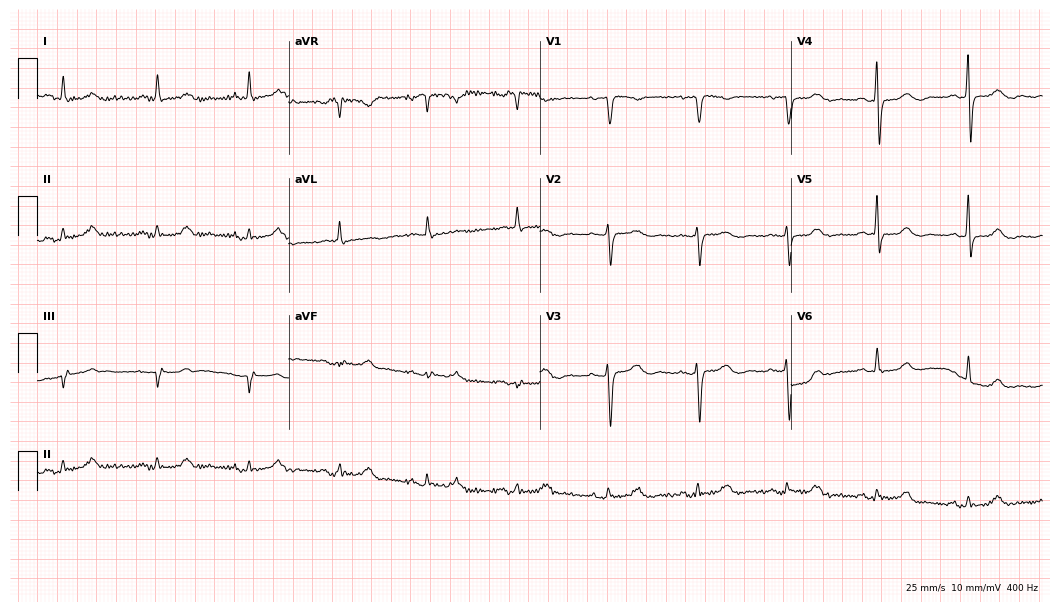
Electrocardiogram (10.2-second recording at 400 Hz), a female patient, 70 years old. Overall reading on record: normal ECG.